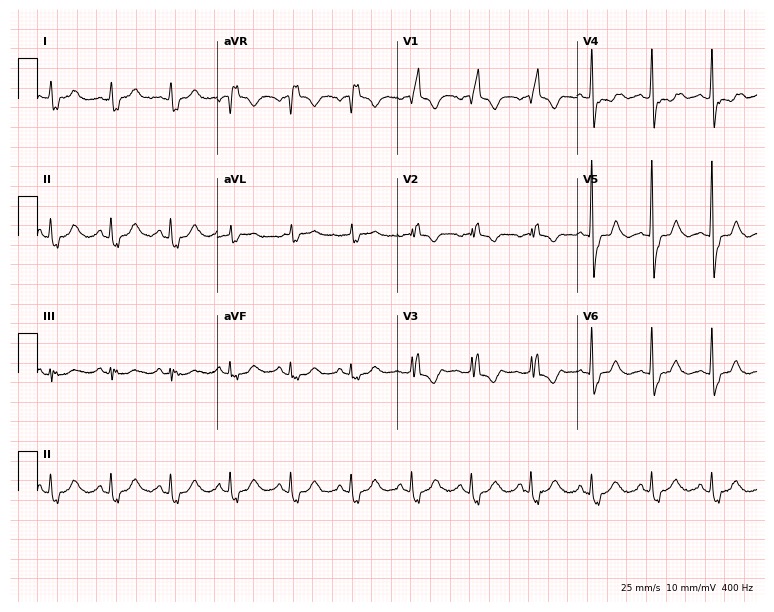
Resting 12-lead electrocardiogram (7.3-second recording at 400 Hz). Patient: a female, 71 years old. The tracing shows right bundle branch block.